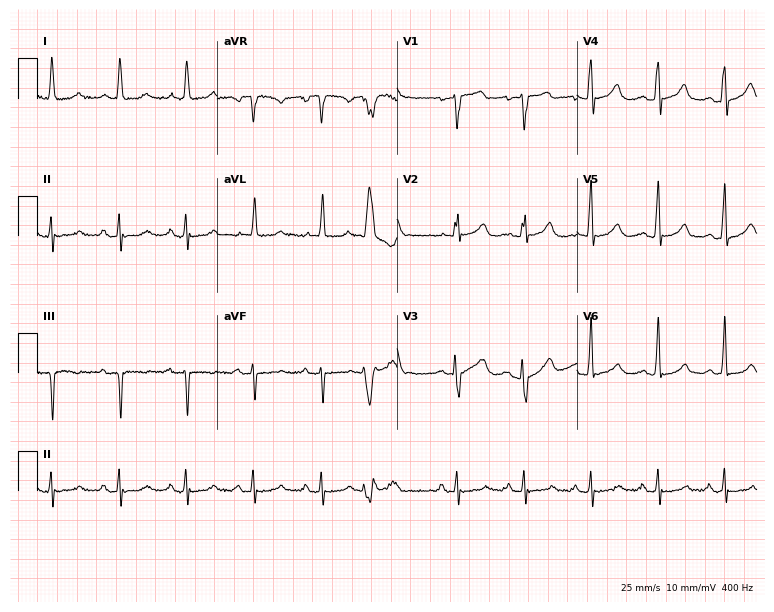
12-lead ECG (7.3-second recording at 400 Hz) from an 88-year-old woman. Screened for six findings — first-degree AV block, right bundle branch block, left bundle branch block, sinus bradycardia, atrial fibrillation, sinus tachycardia — none is recorded. Findings outside these six are not listed.